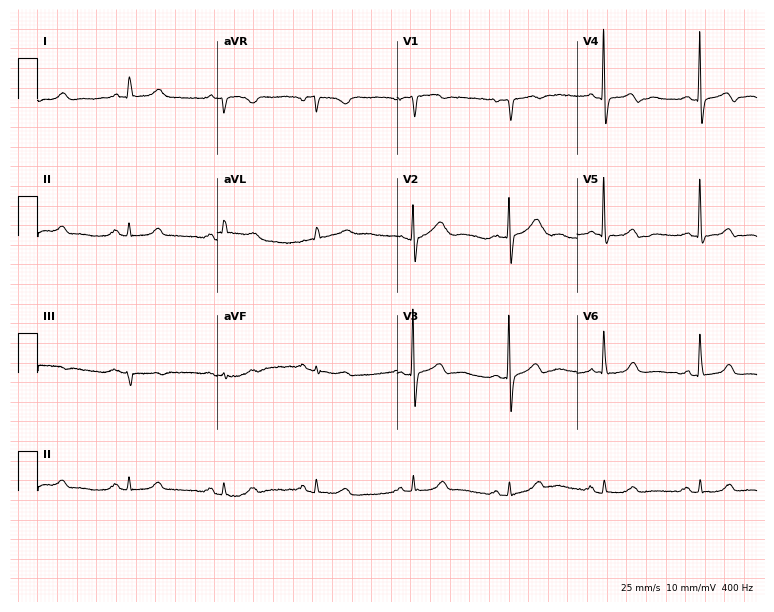
Resting 12-lead electrocardiogram. Patient: a female, 76 years old. Read as a normal ECG.